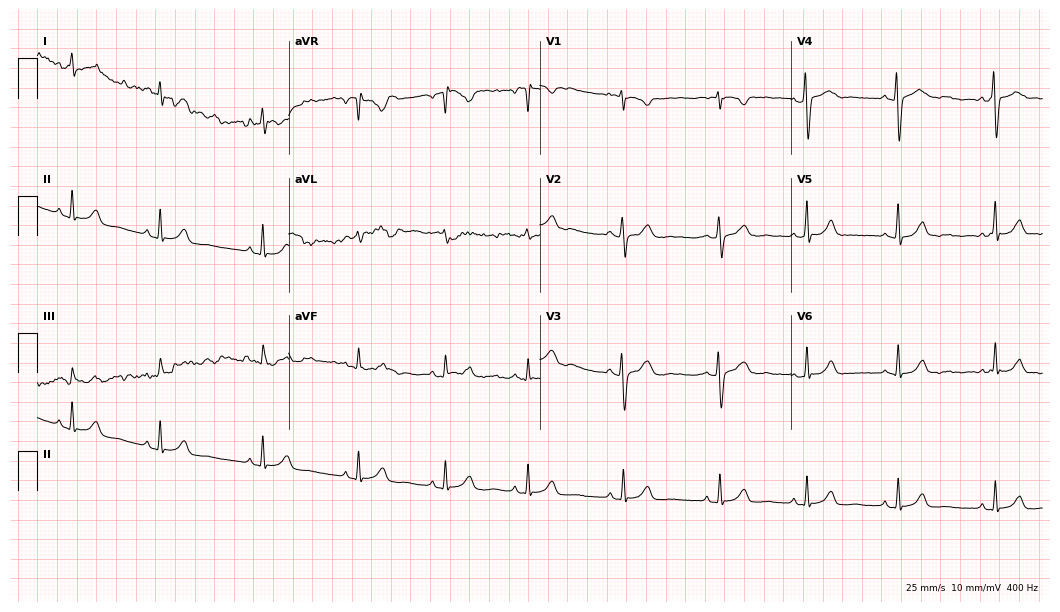
Resting 12-lead electrocardiogram. Patient: an 18-year-old woman. Read as a normal ECG.